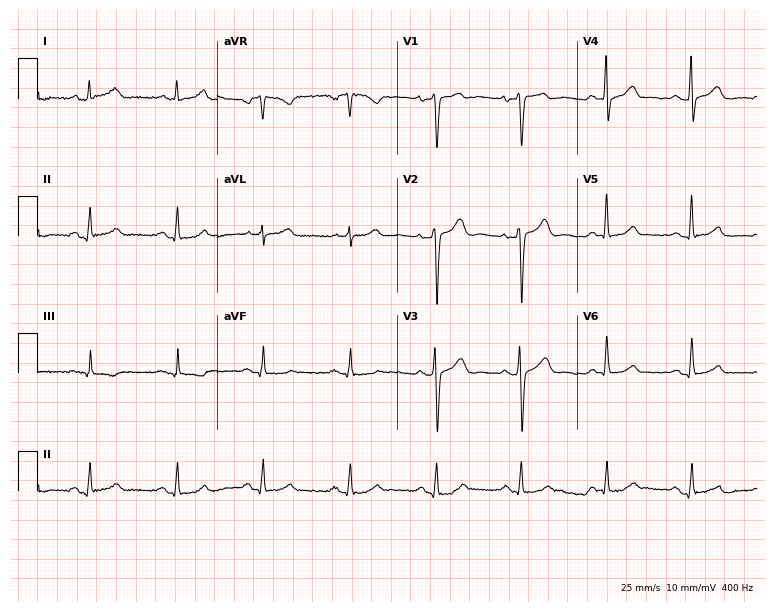
12-lead ECG from a 46-year-old male (7.3-second recording at 400 Hz). No first-degree AV block, right bundle branch block, left bundle branch block, sinus bradycardia, atrial fibrillation or sinus tachycardia recorded for this tracing.